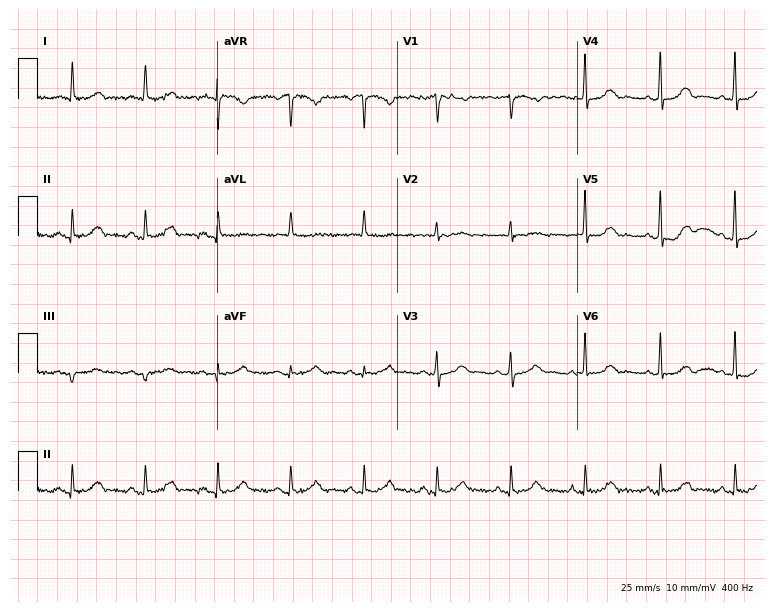
Standard 12-lead ECG recorded from a 63-year-old woman. Read as a normal ECG.